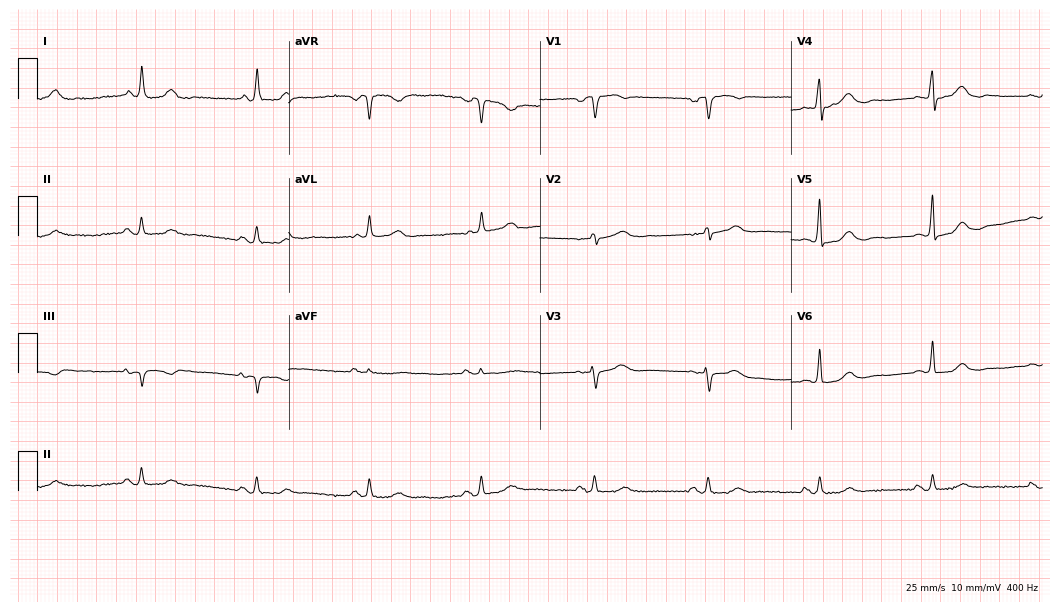
ECG — a female patient, 75 years old. Screened for six findings — first-degree AV block, right bundle branch block, left bundle branch block, sinus bradycardia, atrial fibrillation, sinus tachycardia — none is recorded. Only these six findings were labelled.